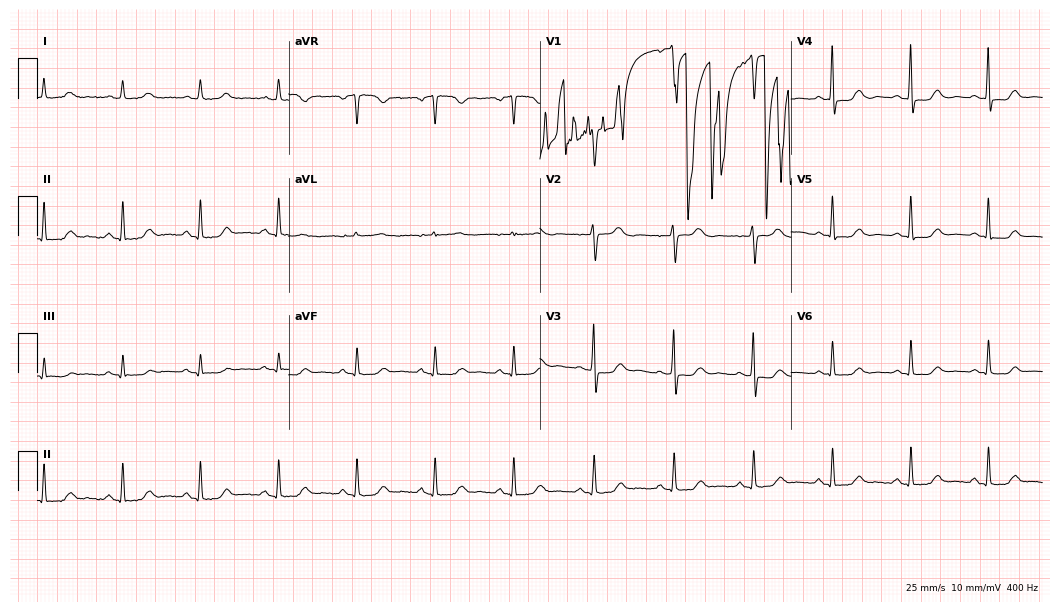
ECG — a 69-year-old female. Screened for six findings — first-degree AV block, right bundle branch block (RBBB), left bundle branch block (LBBB), sinus bradycardia, atrial fibrillation (AF), sinus tachycardia — none is recorded. Findings outside these six are not listed.